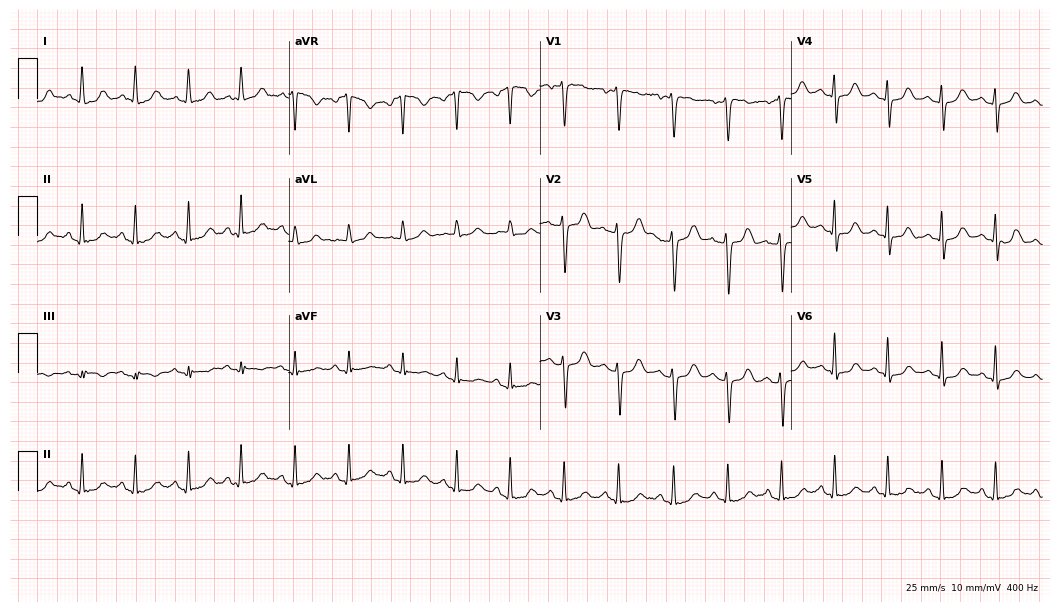
Standard 12-lead ECG recorded from a female patient, 39 years old (10.2-second recording at 400 Hz). The tracing shows sinus tachycardia (a sinus rate of 100 beats per minute or more).